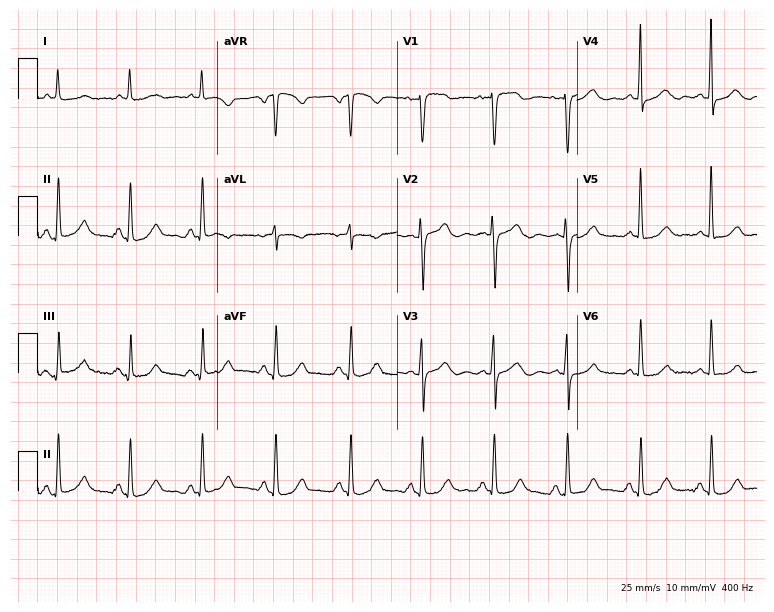
ECG (7.3-second recording at 400 Hz) — a woman, 67 years old. Screened for six findings — first-degree AV block, right bundle branch block, left bundle branch block, sinus bradycardia, atrial fibrillation, sinus tachycardia — none is recorded.